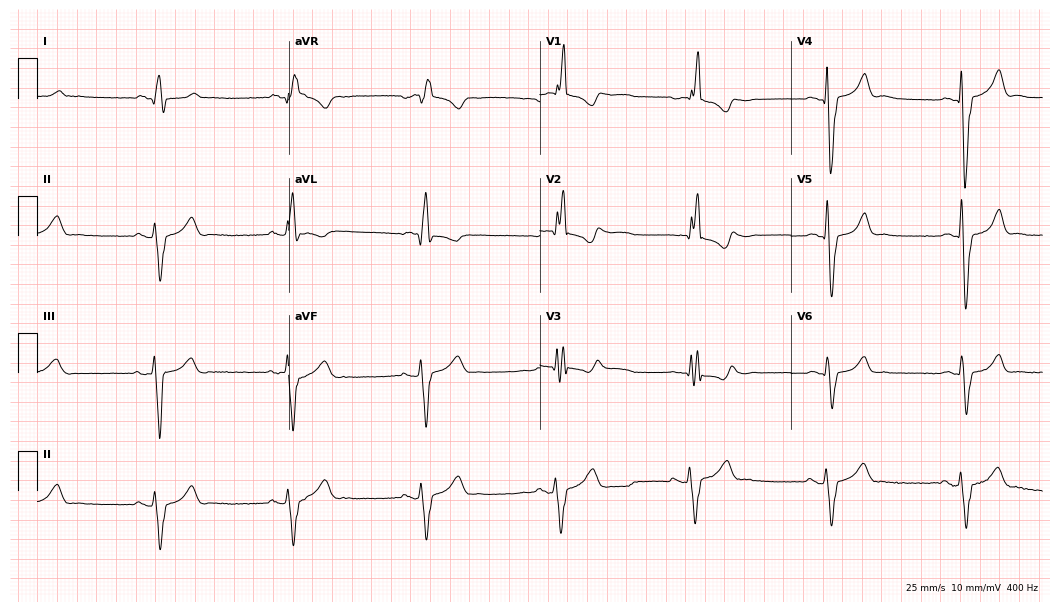
12-lead ECG from a male, 77 years old (10.2-second recording at 400 Hz). Shows right bundle branch block (RBBB).